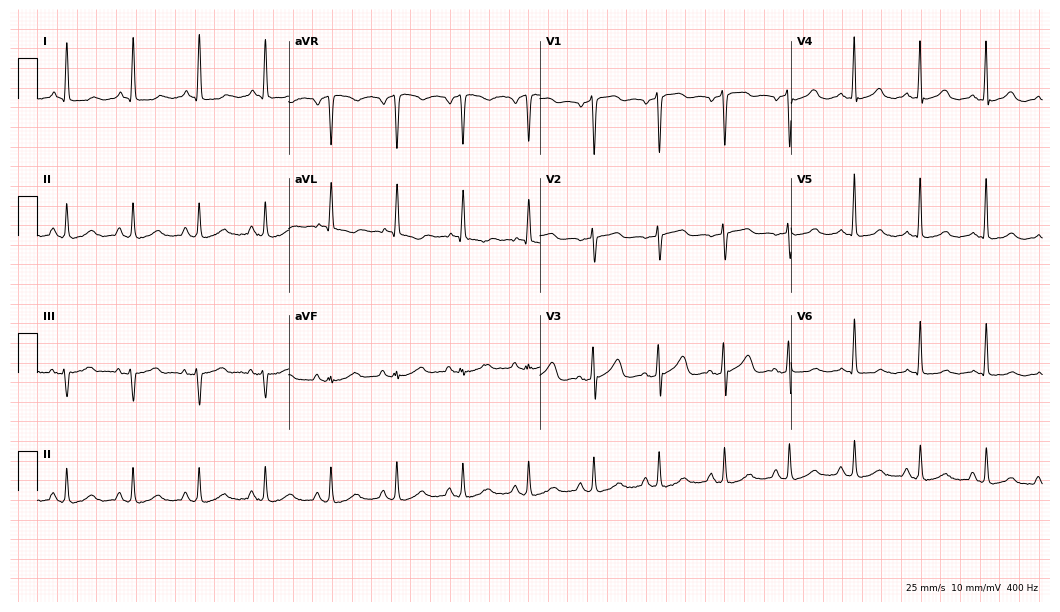
Standard 12-lead ECG recorded from a 63-year-old woman (10.2-second recording at 400 Hz). None of these six findings is recorded: first-degree AV block, right bundle branch block (RBBB), left bundle branch block (LBBB), sinus bradycardia, atrial fibrillation (AF), sinus tachycardia. Only these six findings were labelled.